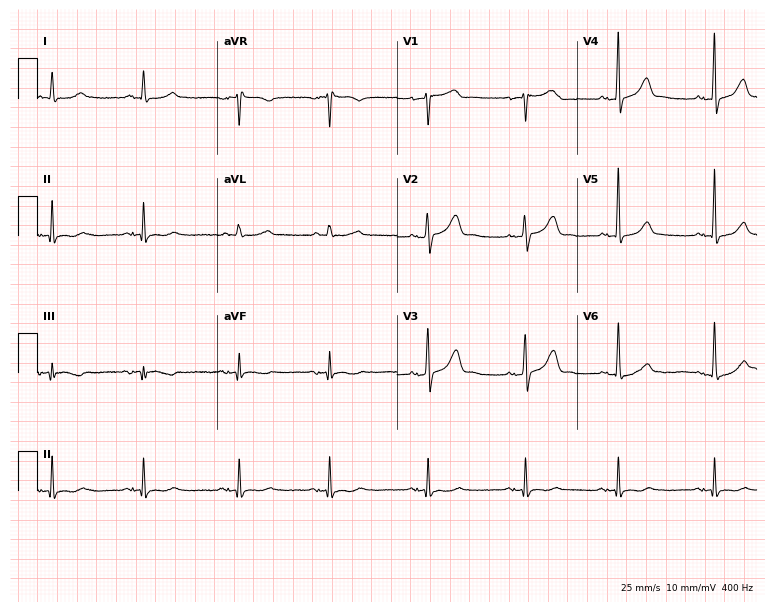
Standard 12-lead ECG recorded from a 79-year-old male. None of these six findings is recorded: first-degree AV block, right bundle branch block, left bundle branch block, sinus bradycardia, atrial fibrillation, sinus tachycardia.